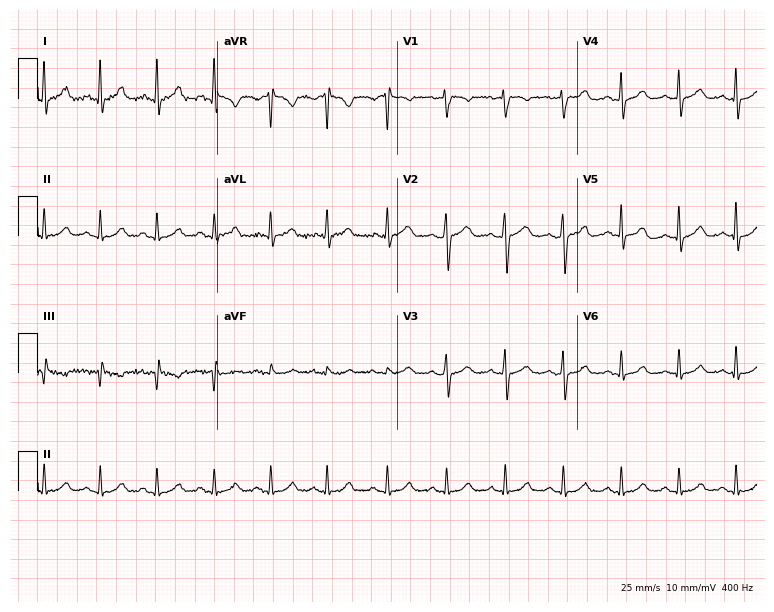
Electrocardiogram (7.3-second recording at 400 Hz), a female patient, 30 years old. Interpretation includes sinus tachycardia (a sinus rate of 100 beats per minute or more).